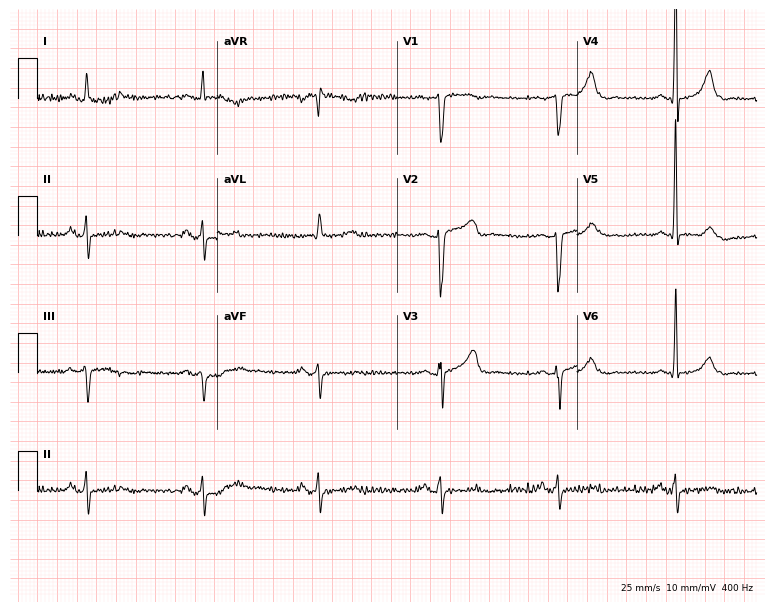
12-lead ECG from a male, 68 years old. Screened for six findings — first-degree AV block, right bundle branch block (RBBB), left bundle branch block (LBBB), sinus bradycardia, atrial fibrillation (AF), sinus tachycardia — none is recorded. Other findings, if any, are not listed.